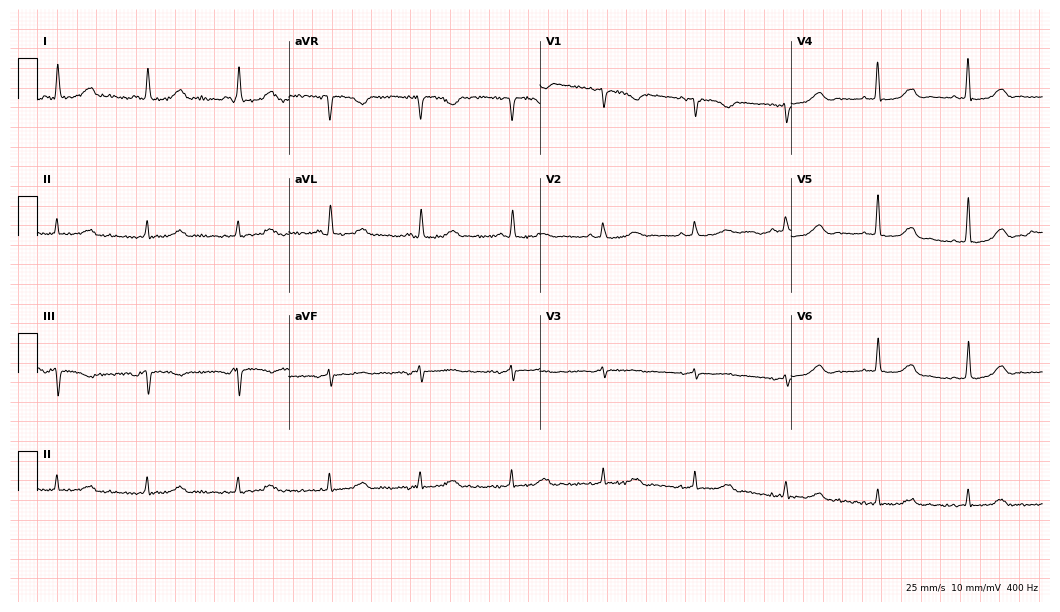
Electrocardiogram (10.2-second recording at 400 Hz), an 85-year-old female patient. Of the six screened findings (first-degree AV block, right bundle branch block, left bundle branch block, sinus bradycardia, atrial fibrillation, sinus tachycardia), none is recorded. Findings outside these six are not listed.